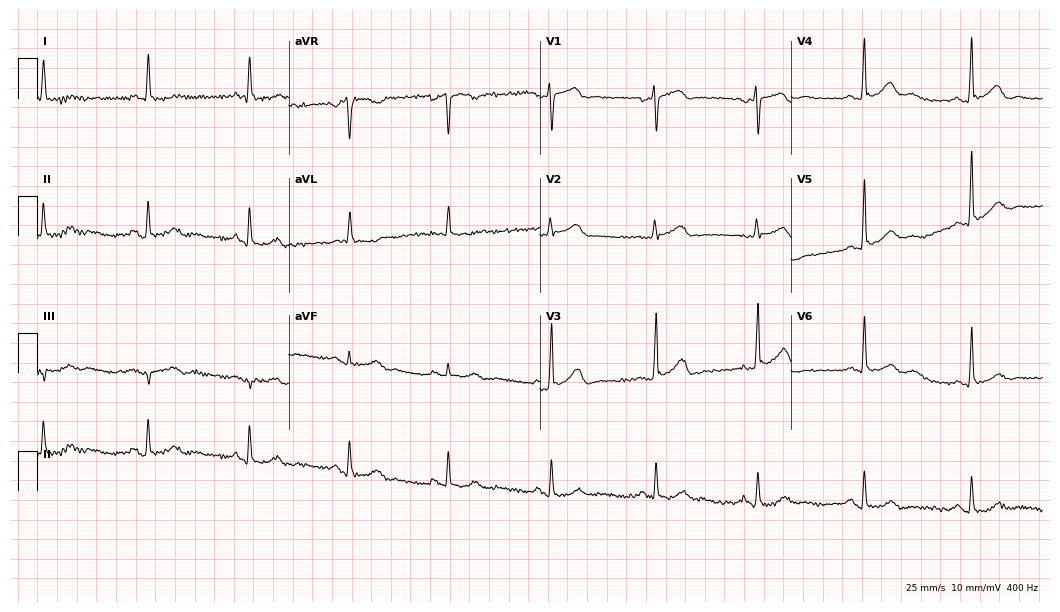
12-lead ECG (10.2-second recording at 400 Hz) from a male patient, 68 years old. Screened for six findings — first-degree AV block, right bundle branch block, left bundle branch block, sinus bradycardia, atrial fibrillation, sinus tachycardia — none is recorded. Only these six findings were labelled.